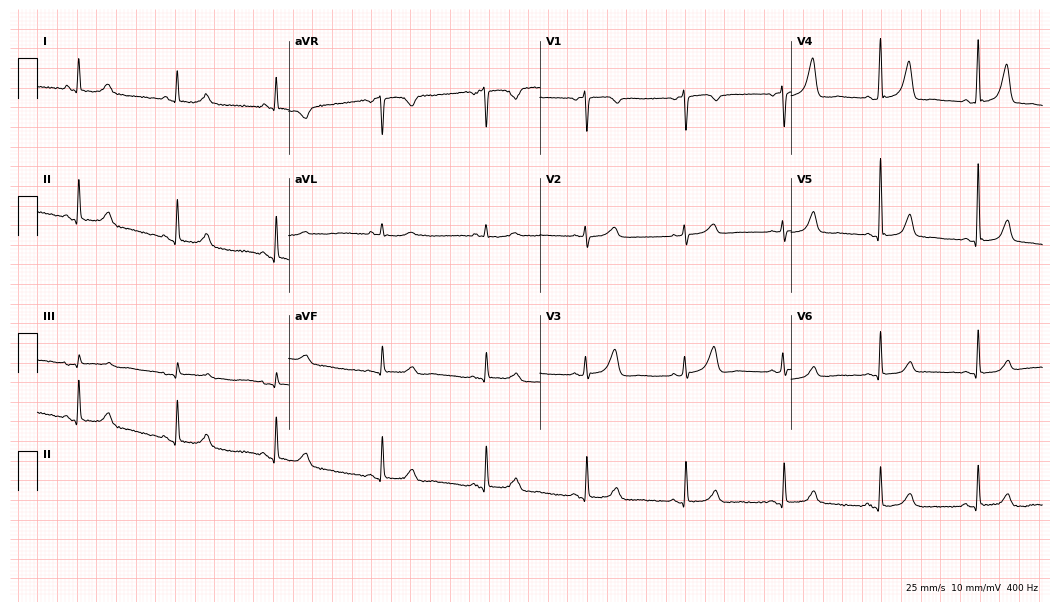
ECG (10.2-second recording at 400 Hz) — a 61-year-old woman. Labelled as a normal ECG.